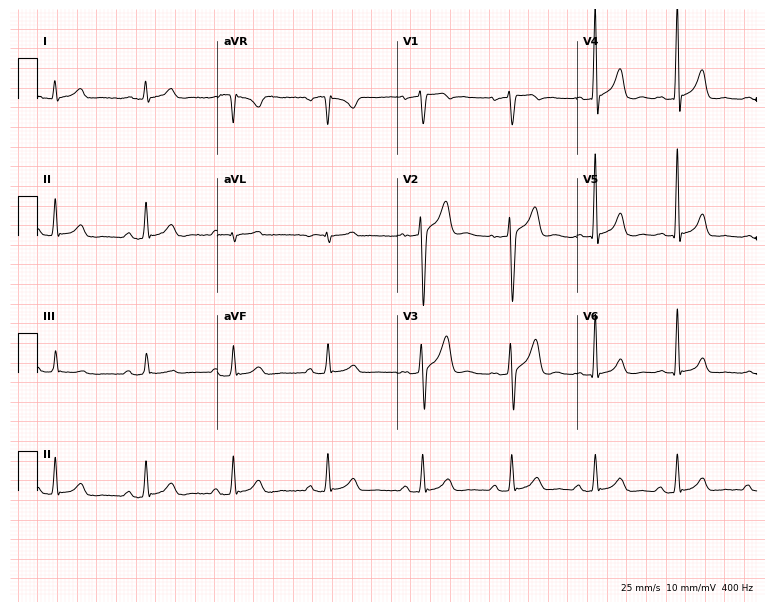
Resting 12-lead electrocardiogram. Patient: a 36-year-old man. None of these six findings is recorded: first-degree AV block, right bundle branch block, left bundle branch block, sinus bradycardia, atrial fibrillation, sinus tachycardia.